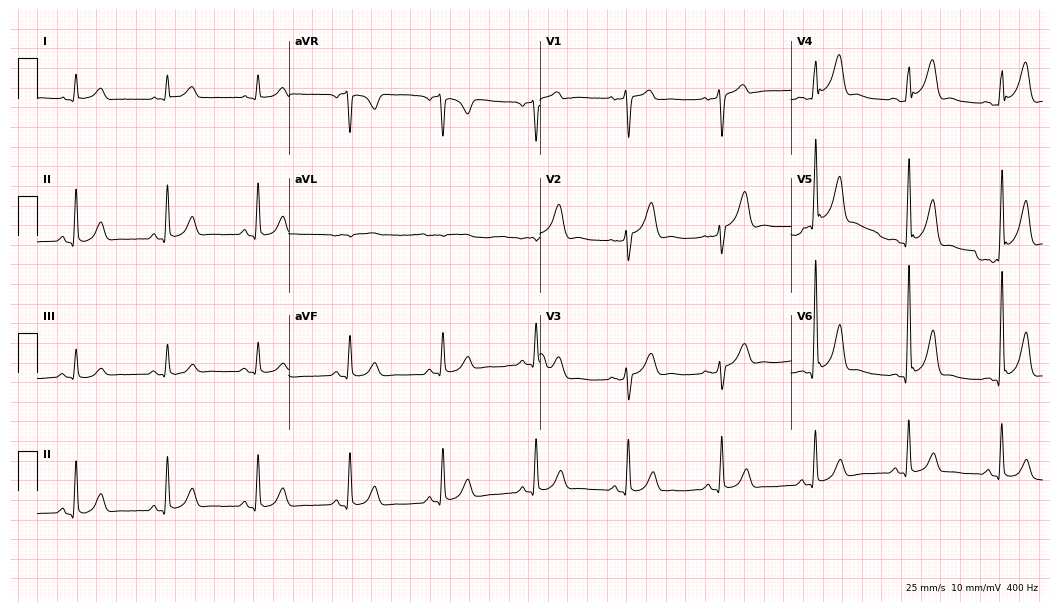
12-lead ECG from a 51-year-old male patient. Screened for six findings — first-degree AV block, right bundle branch block, left bundle branch block, sinus bradycardia, atrial fibrillation, sinus tachycardia — none is recorded. Only these six findings were labelled.